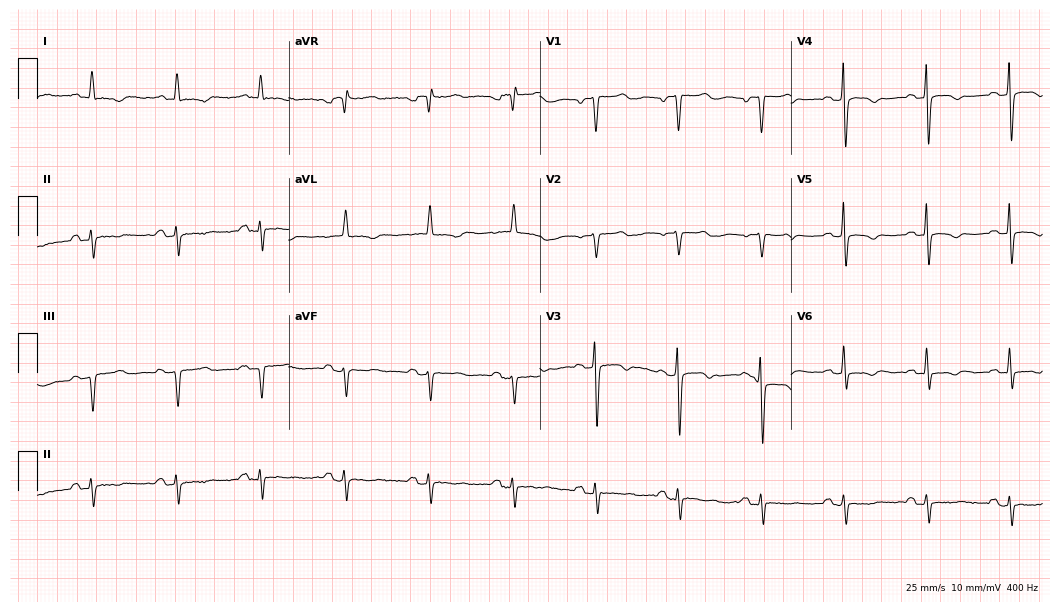
12-lead ECG from an 81-year-old female (10.2-second recording at 400 Hz). No first-degree AV block, right bundle branch block (RBBB), left bundle branch block (LBBB), sinus bradycardia, atrial fibrillation (AF) or sinus tachycardia recorded for this tracing.